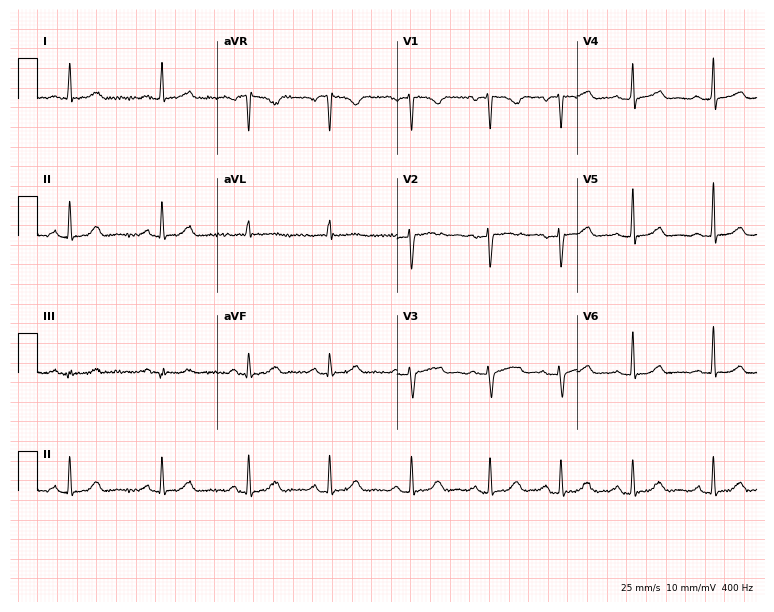
Resting 12-lead electrocardiogram. Patient: a female, 42 years old. Read as a normal ECG.